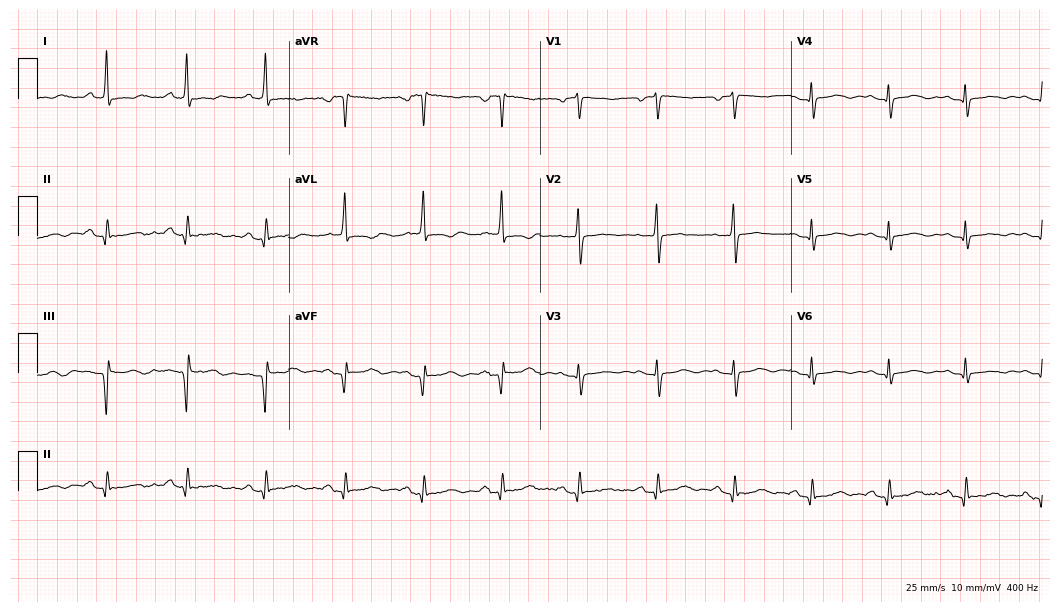
ECG (10.2-second recording at 400 Hz) — a 76-year-old female. Screened for six findings — first-degree AV block, right bundle branch block, left bundle branch block, sinus bradycardia, atrial fibrillation, sinus tachycardia — none is recorded. Other findings, if any, are not listed.